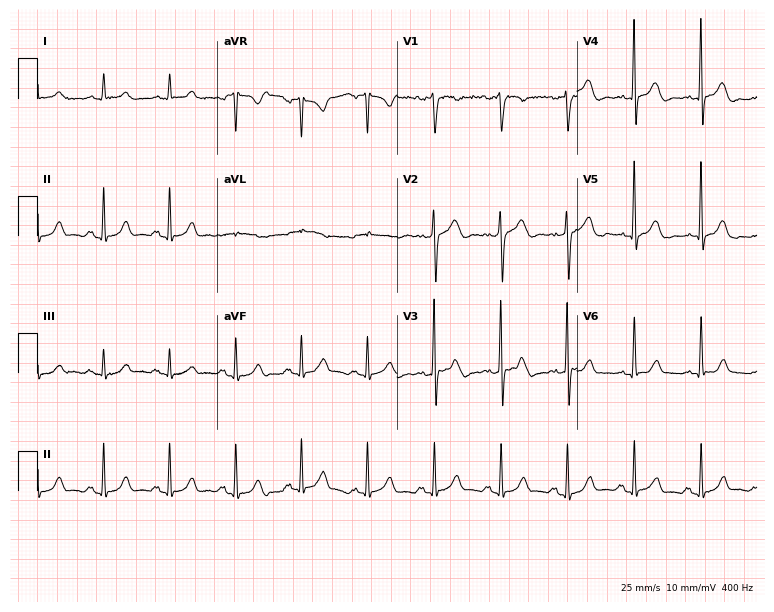
Electrocardiogram, a 76-year-old male. Of the six screened findings (first-degree AV block, right bundle branch block (RBBB), left bundle branch block (LBBB), sinus bradycardia, atrial fibrillation (AF), sinus tachycardia), none is recorded. Only these six findings were labelled.